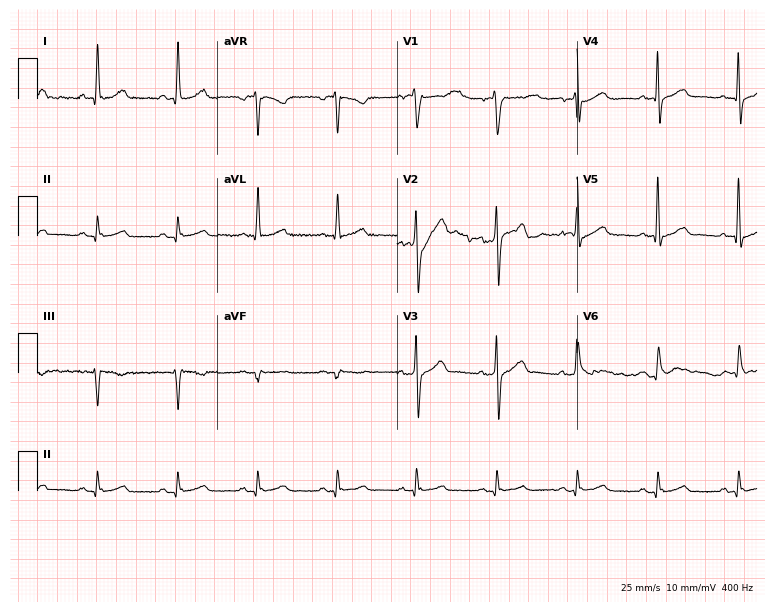
Electrocardiogram, a male patient, 50 years old. Overall reading on record: normal ECG.